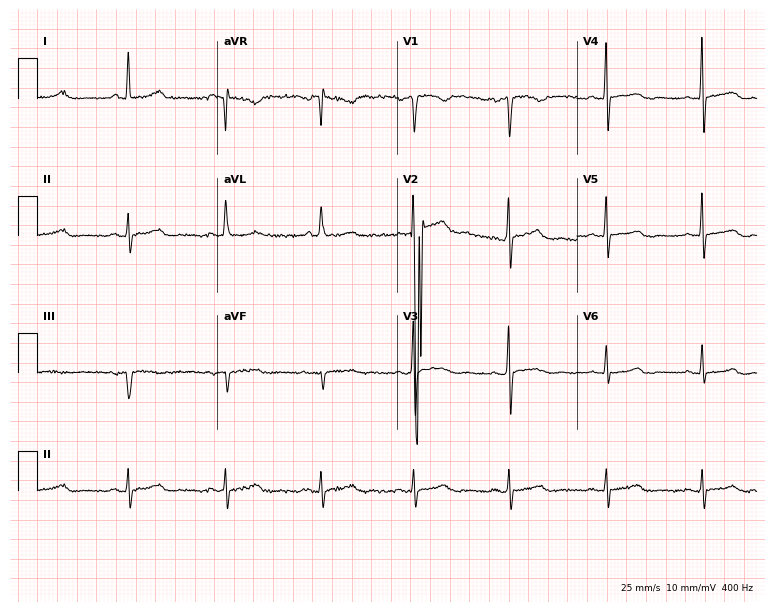
Electrocardiogram, a 59-year-old female. Overall reading on record: normal ECG.